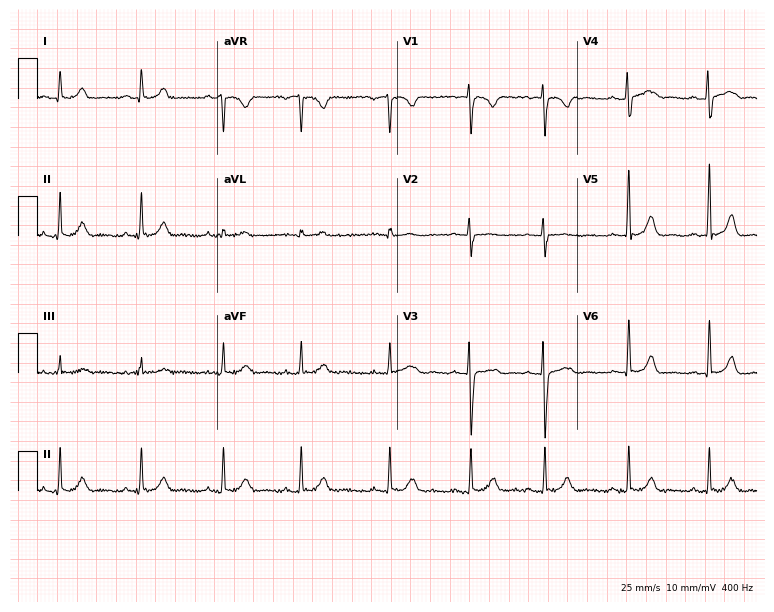
ECG — a 19-year-old female patient. Screened for six findings — first-degree AV block, right bundle branch block (RBBB), left bundle branch block (LBBB), sinus bradycardia, atrial fibrillation (AF), sinus tachycardia — none is recorded. Other findings, if any, are not listed.